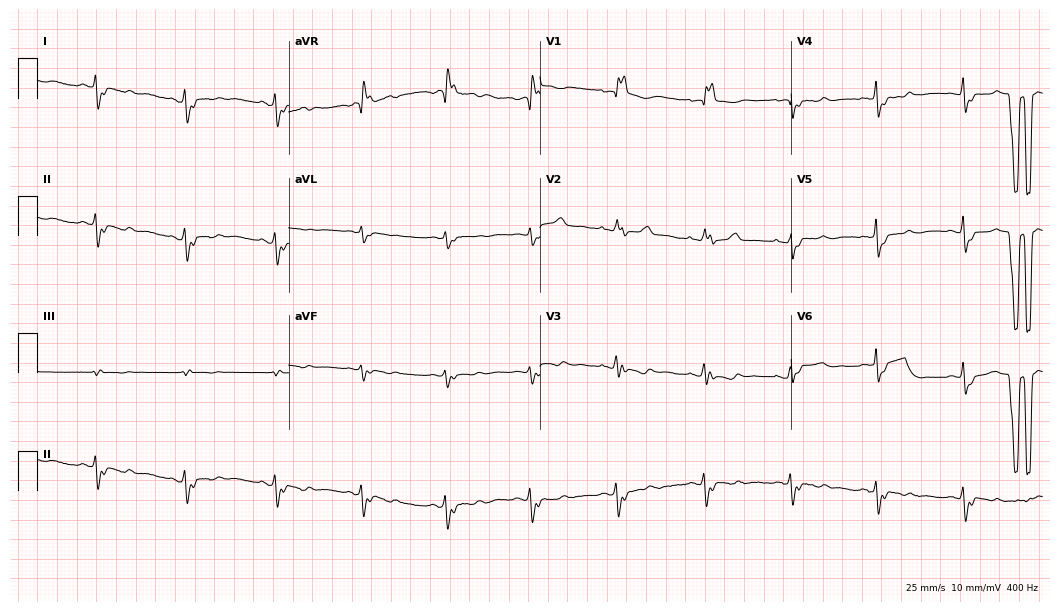
Electrocardiogram (10.2-second recording at 400 Hz), a 47-year-old female patient. Of the six screened findings (first-degree AV block, right bundle branch block, left bundle branch block, sinus bradycardia, atrial fibrillation, sinus tachycardia), none is recorded. Other findings, if any, are not listed.